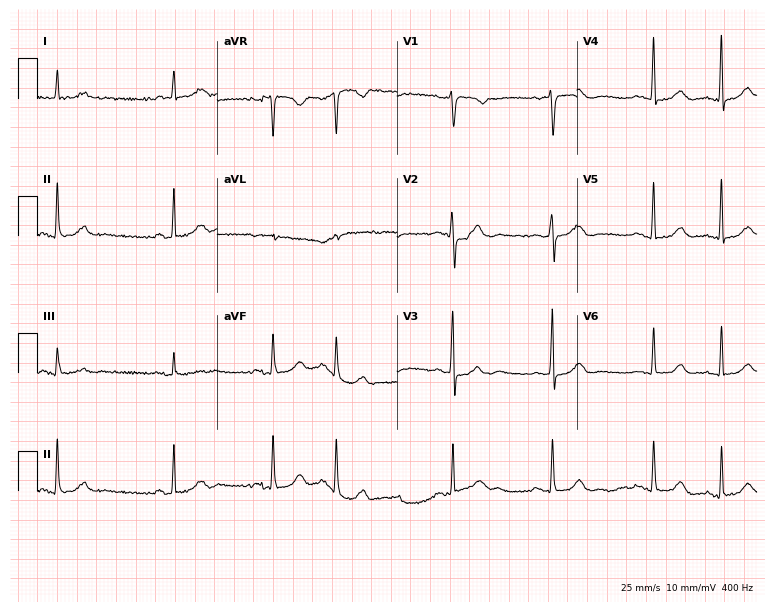
Electrocardiogram, a 78-year-old female patient. Overall reading on record: normal ECG.